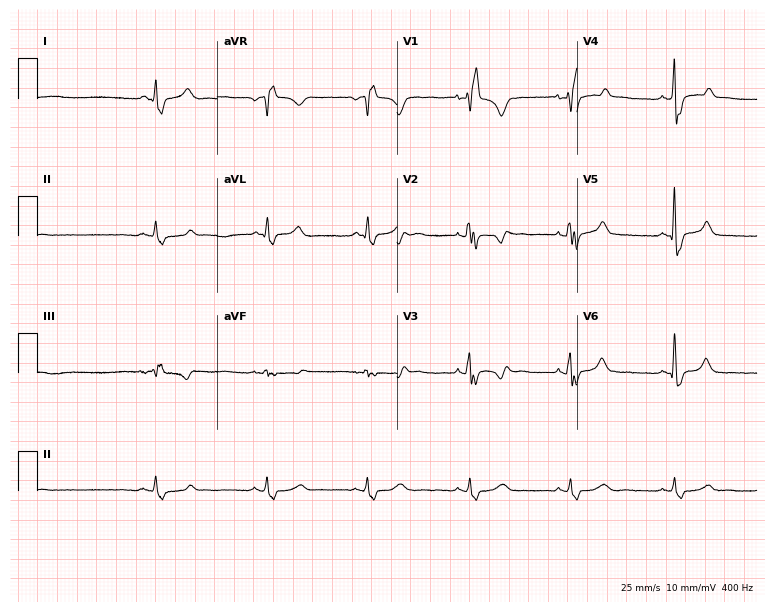
ECG — a female patient, 50 years old. Findings include right bundle branch block.